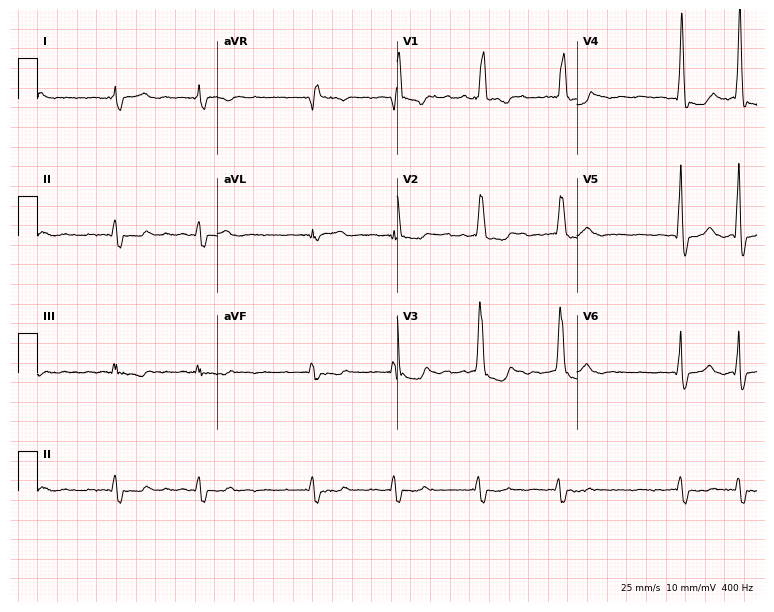
Electrocardiogram (7.3-second recording at 400 Hz), a 66-year-old man. Interpretation includes right bundle branch block, atrial fibrillation.